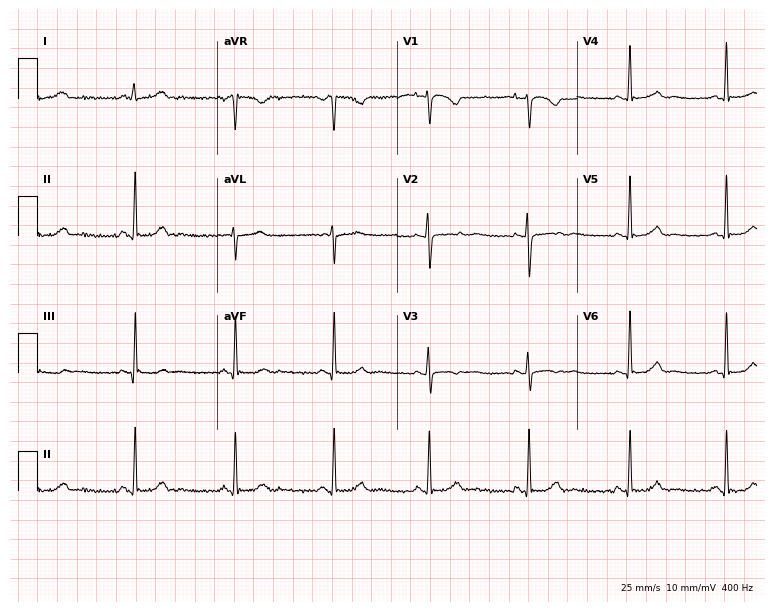
12-lead ECG from an 18-year-old female patient. No first-degree AV block, right bundle branch block (RBBB), left bundle branch block (LBBB), sinus bradycardia, atrial fibrillation (AF) or sinus tachycardia recorded for this tracing. Only these six findings were labelled.